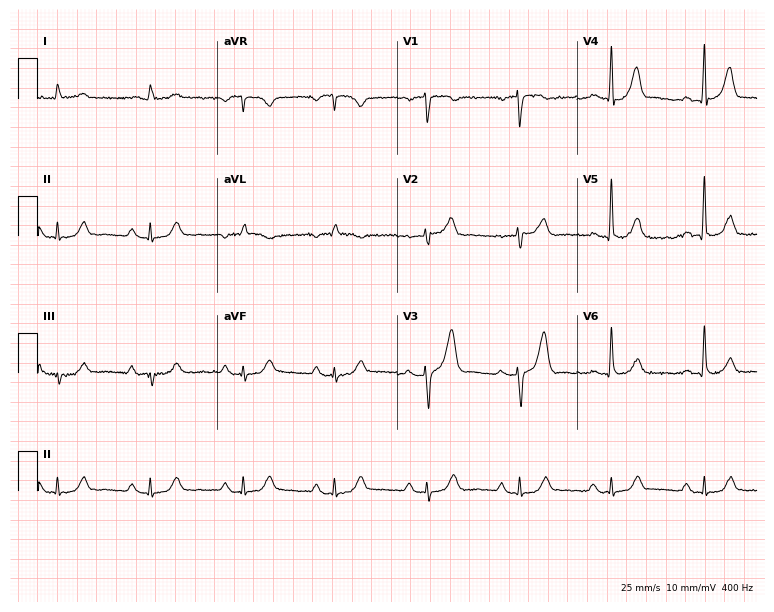
12-lead ECG from a male patient, 76 years old. No first-degree AV block, right bundle branch block (RBBB), left bundle branch block (LBBB), sinus bradycardia, atrial fibrillation (AF) or sinus tachycardia recorded for this tracing. Other findings, if any, are not listed.